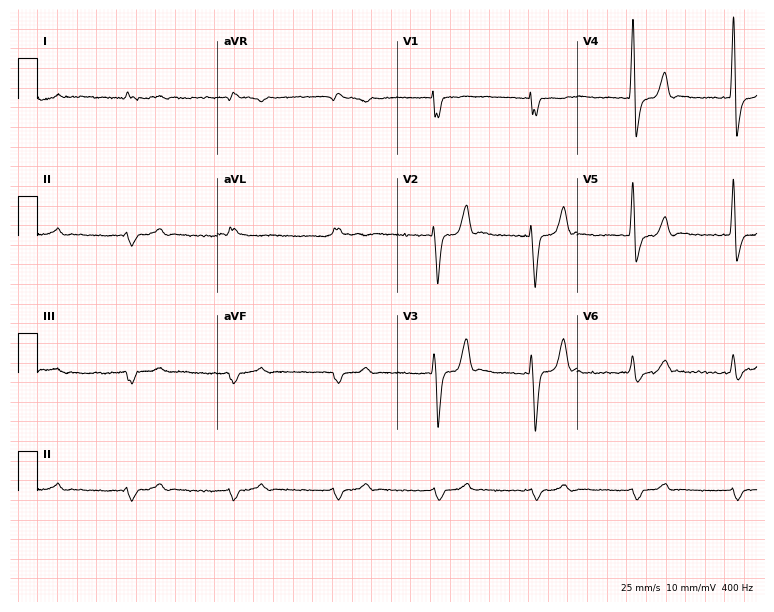
Resting 12-lead electrocardiogram. Patient: a 79-year-old female. None of these six findings is recorded: first-degree AV block, right bundle branch block, left bundle branch block, sinus bradycardia, atrial fibrillation, sinus tachycardia. Other findings, if any, are not listed.